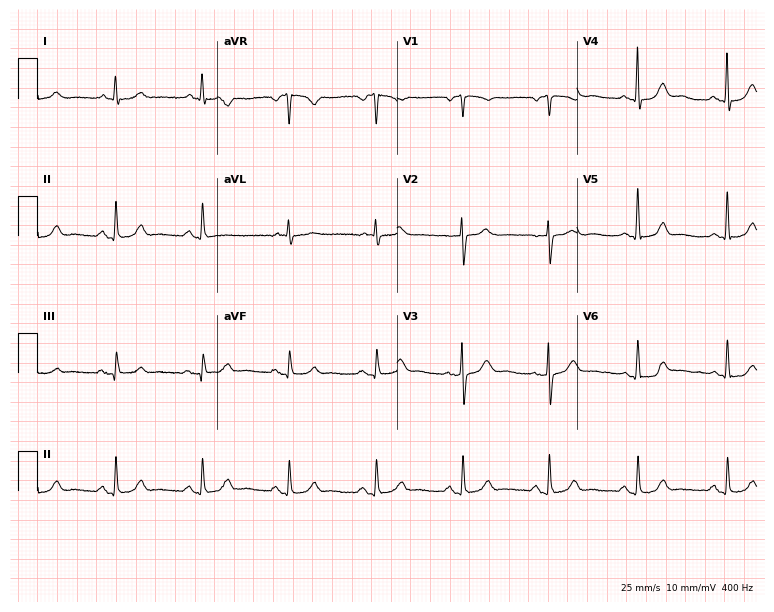
ECG — a 60-year-old male patient. Labelled as a normal ECG.